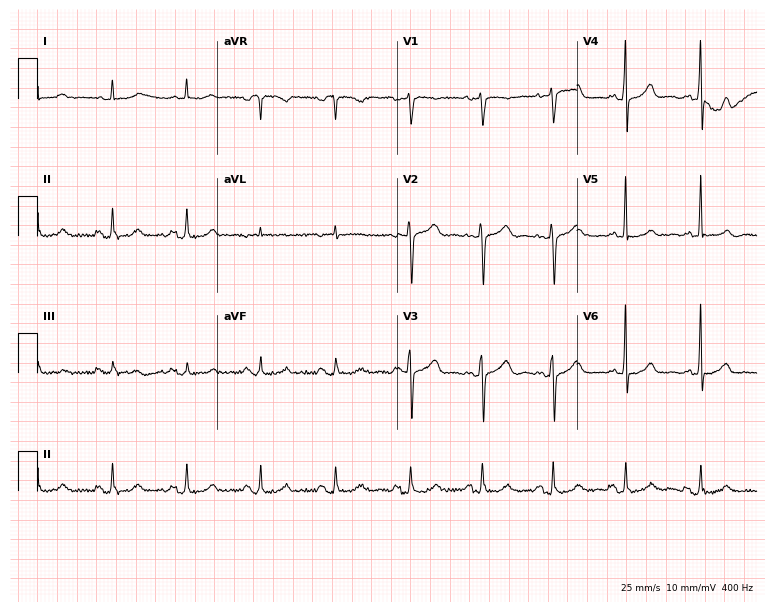
ECG (7.3-second recording at 400 Hz) — a man, 83 years old. Labelled as a normal ECG.